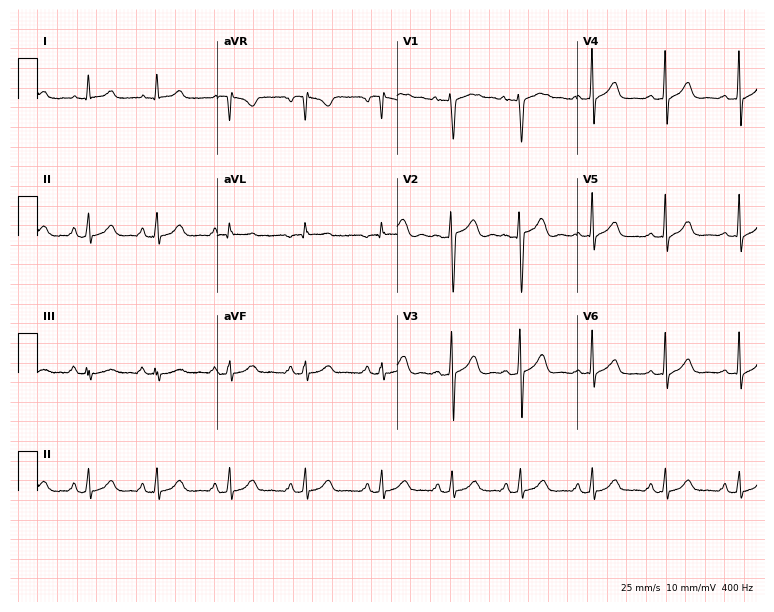
12-lead ECG from a 26-year-old female. Screened for six findings — first-degree AV block, right bundle branch block (RBBB), left bundle branch block (LBBB), sinus bradycardia, atrial fibrillation (AF), sinus tachycardia — none is recorded.